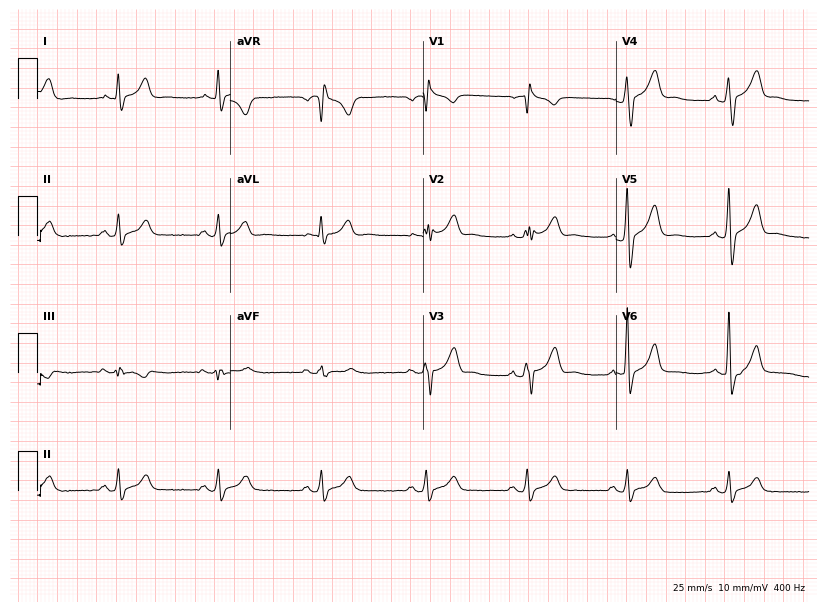
Standard 12-lead ECG recorded from a woman, 32 years old (7.9-second recording at 400 Hz). None of these six findings is recorded: first-degree AV block, right bundle branch block (RBBB), left bundle branch block (LBBB), sinus bradycardia, atrial fibrillation (AF), sinus tachycardia. Findings outside these six are not listed.